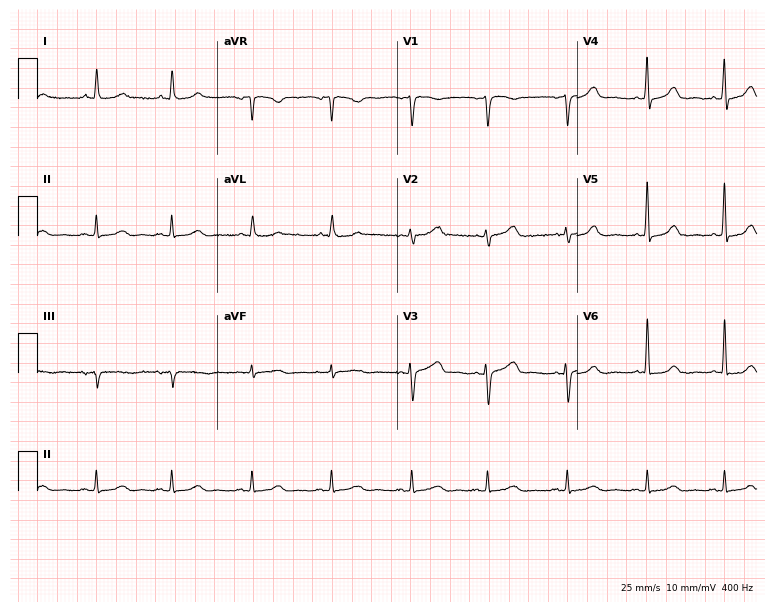
Resting 12-lead electrocardiogram (7.3-second recording at 400 Hz). Patient: a 56-year-old female. Read as a normal ECG.